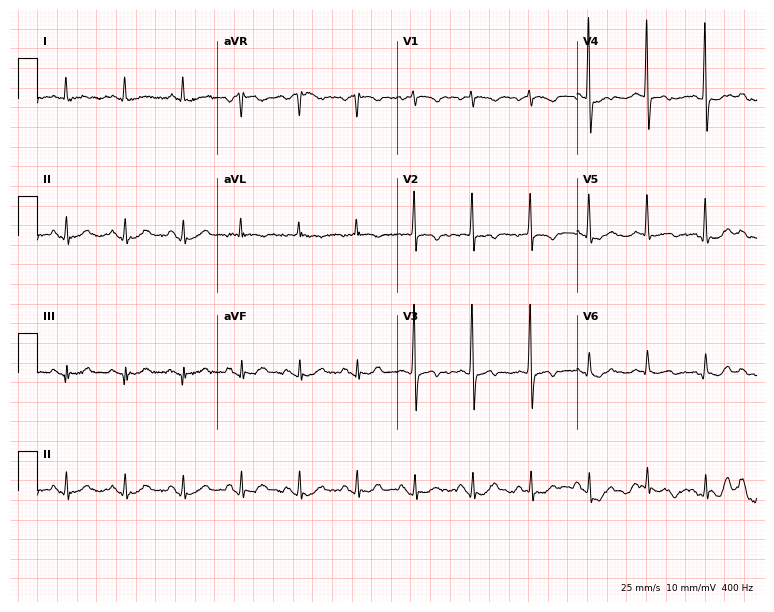
12-lead ECG (7.3-second recording at 400 Hz) from a 77-year-old male. Findings include sinus tachycardia (a sinus rate of 100 beats per minute or more).